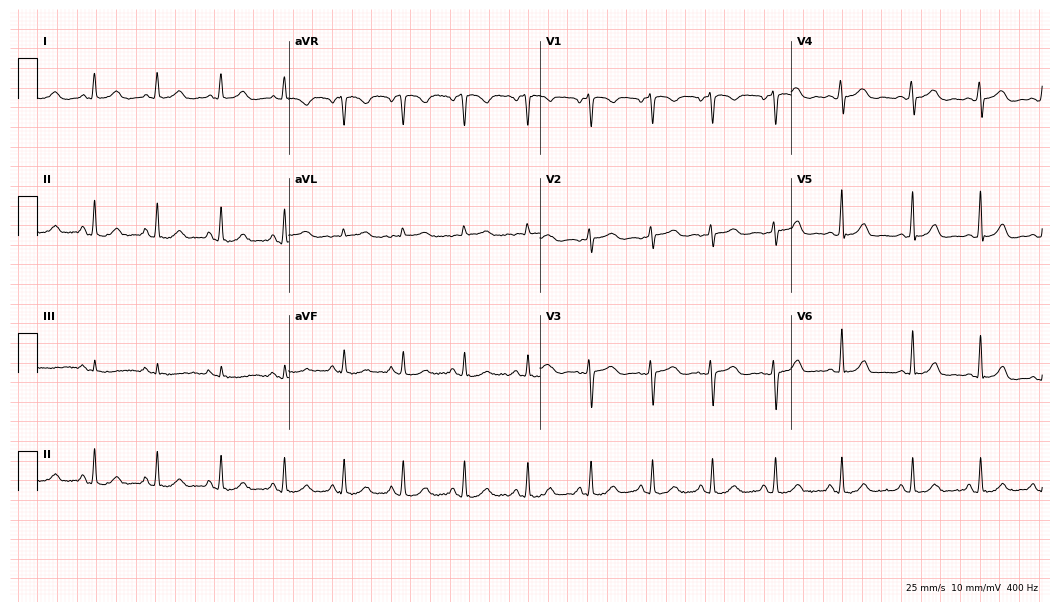
Electrocardiogram (10.2-second recording at 400 Hz), a woman, 19 years old. Overall reading on record: normal ECG.